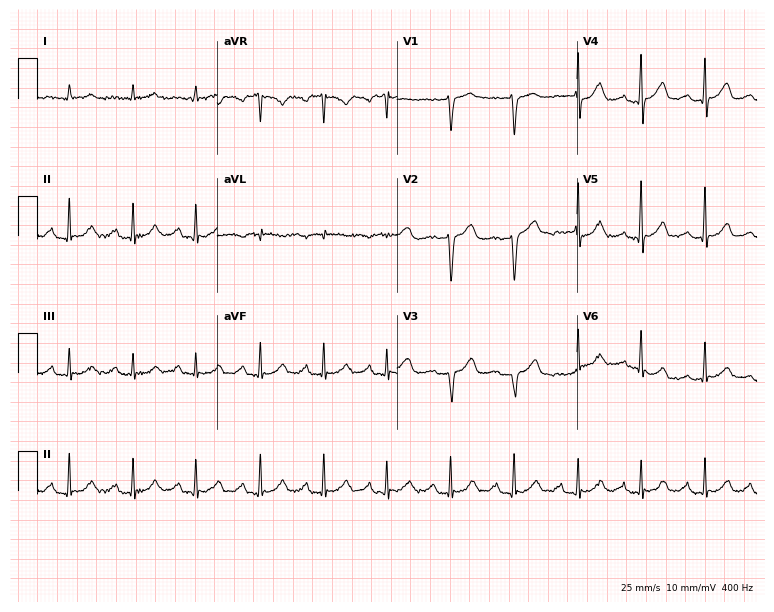
Electrocardiogram, a 70-year-old male. Interpretation includes first-degree AV block.